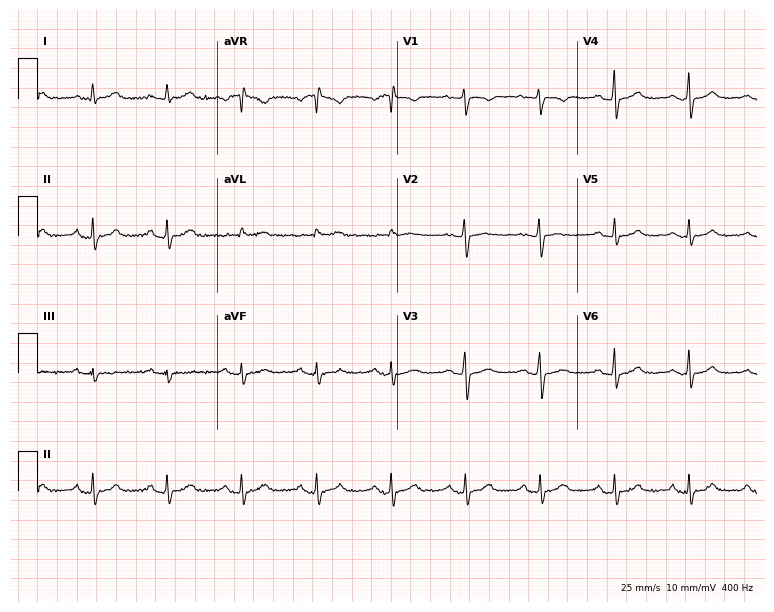
12-lead ECG from a 46-year-old female patient. Recorded interpretation: within normal limits.